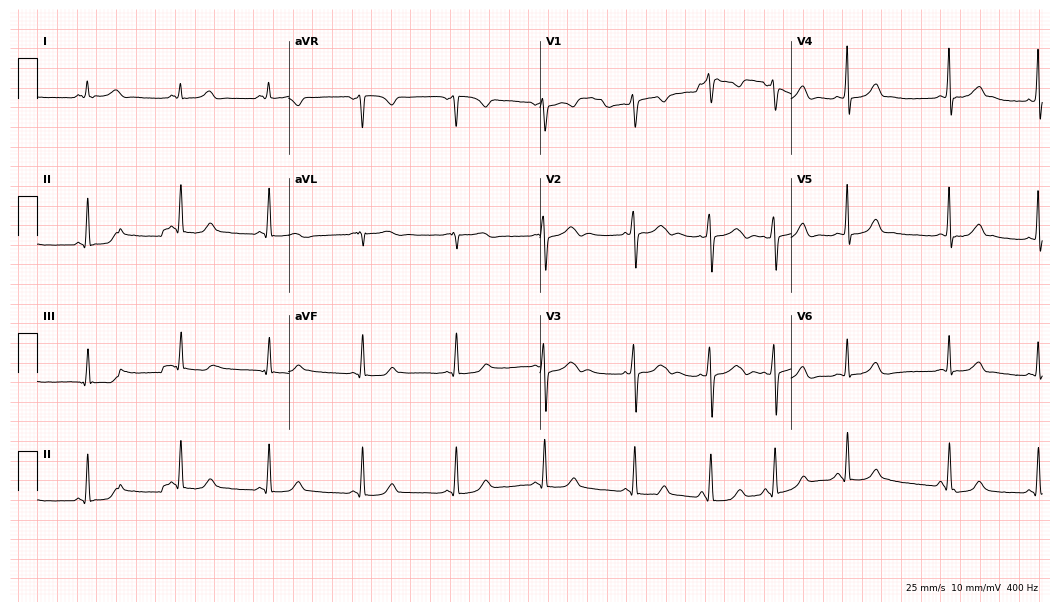
Standard 12-lead ECG recorded from a woman, 29 years old. None of these six findings is recorded: first-degree AV block, right bundle branch block, left bundle branch block, sinus bradycardia, atrial fibrillation, sinus tachycardia.